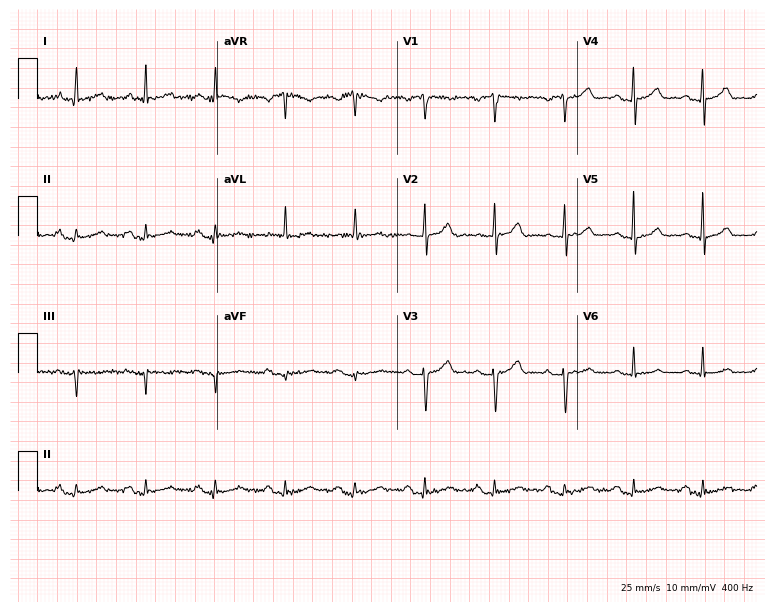
Standard 12-lead ECG recorded from a male patient, 81 years old. None of these six findings is recorded: first-degree AV block, right bundle branch block, left bundle branch block, sinus bradycardia, atrial fibrillation, sinus tachycardia.